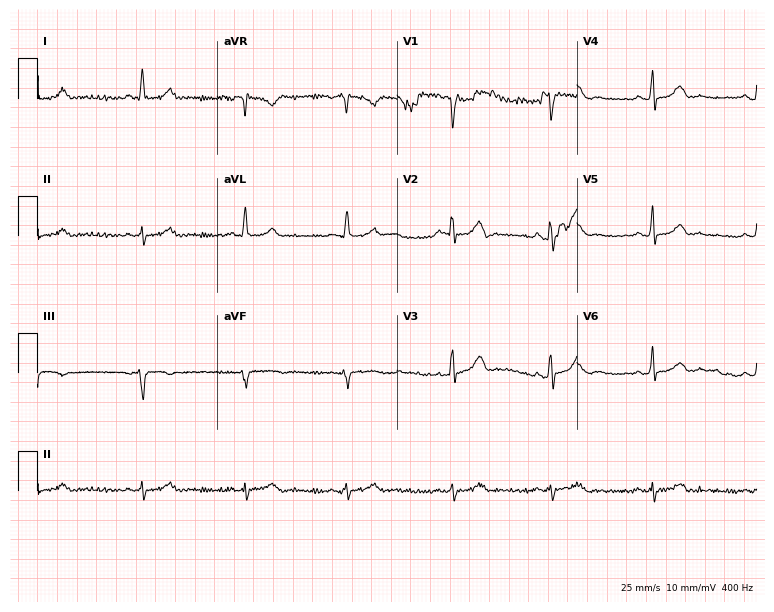
Electrocardiogram, a male, 72 years old. Overall reading on record: normal ECG.